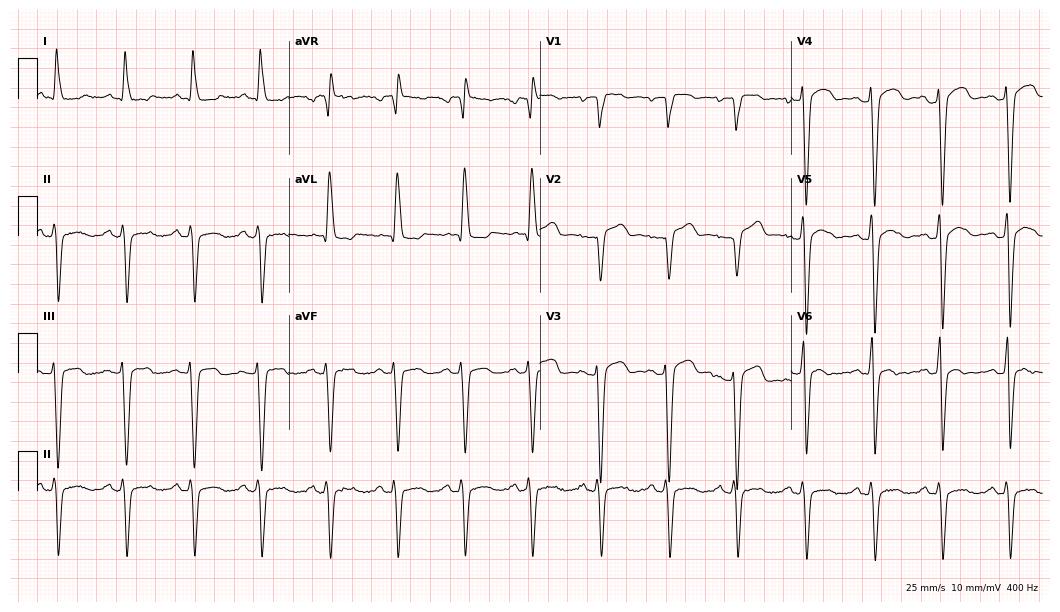
ECG (10.2-second recording at 400 Hz) — a 79-year-old male. Screened for six findings — first-degree AV block, right bundle branch block, left bundle branch block, sinus bradycardia, atrial fibrillation, sinus tachycardia — none is recorded. Only these six findings were labelled.